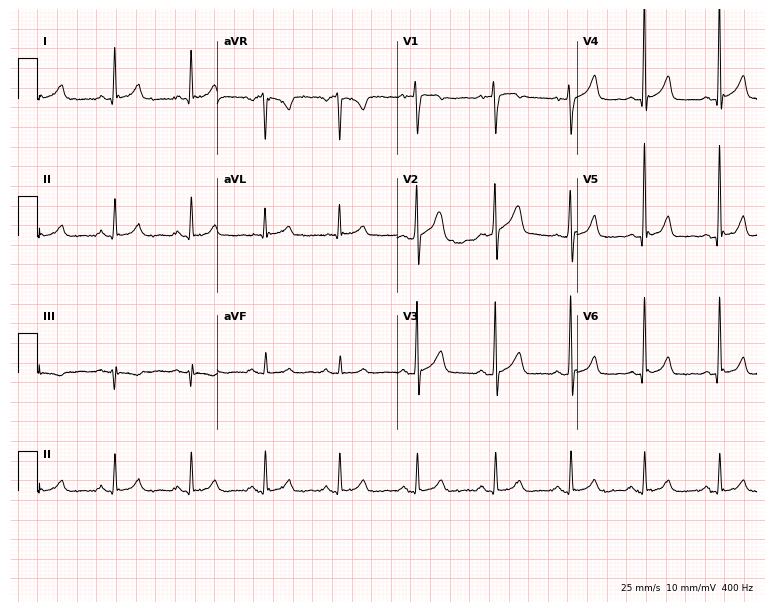
ECG — a male, 42 years old. Labelled as a normal ECG.